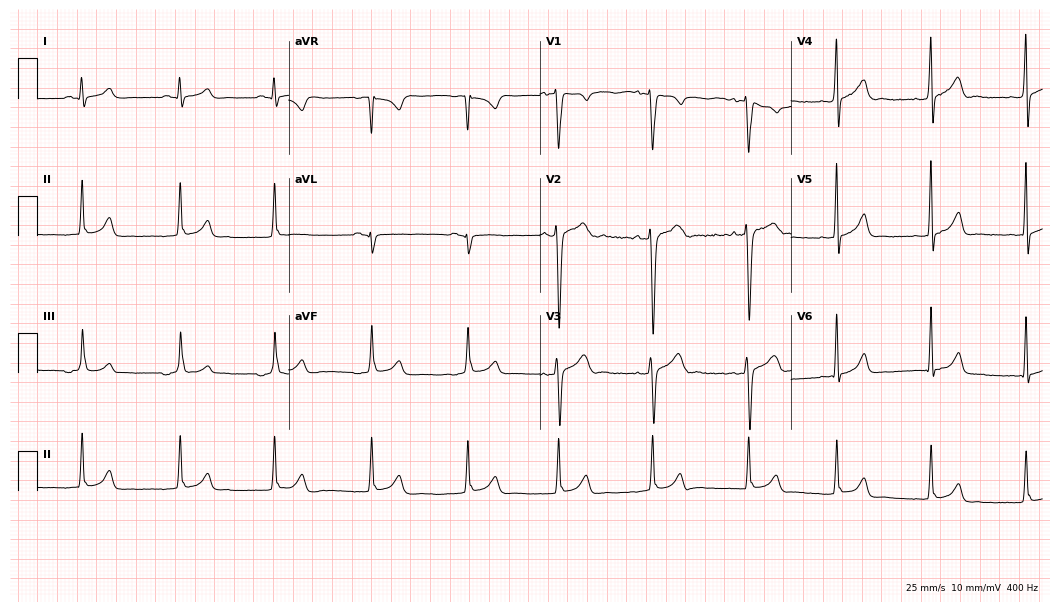
ECG — an 18-year-old man. Labelled as a normal ECG.